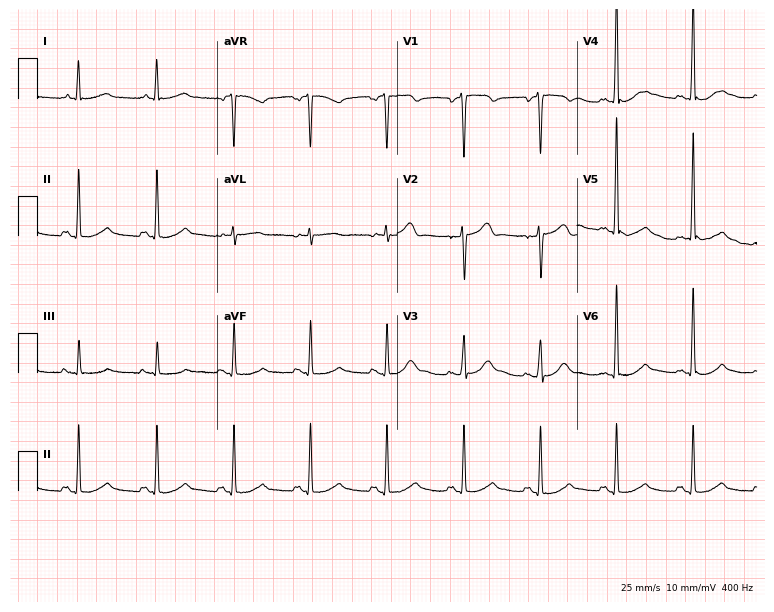
Resting 12-lead electrocardiogram. Patient: a 43-year-old male. None of these six findings is recorded: first-degree AV block, right bundle branch block, left bundle branch block, sinus bradycardia, atrial fibrillation, sinus tachycardia. Findings outside these six are not listed.